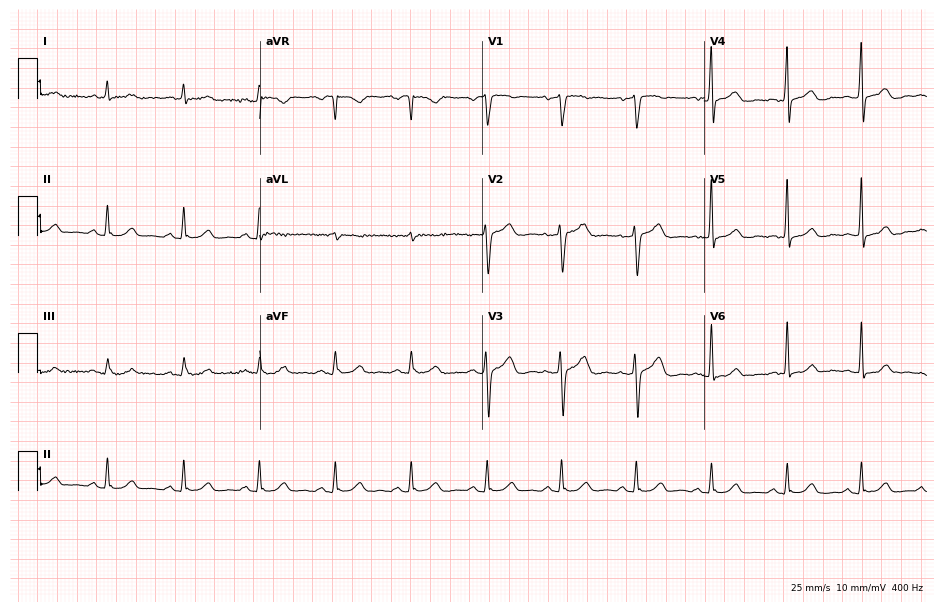
Standard 12-lead ECG recorded from a man, 53 years old. Read as a normal ECG.